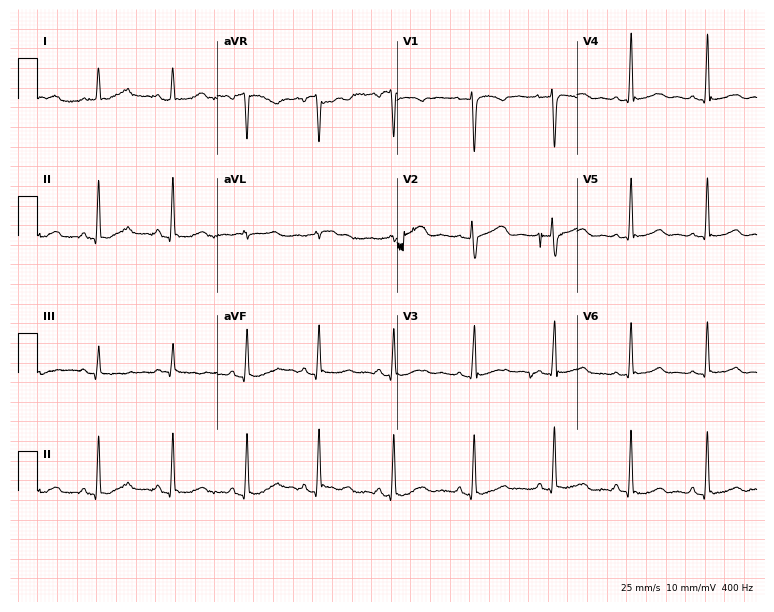
ECG (7.3-second recording at 400 Hz) — a woman, 38 years old. Labelled as a normal ECG.